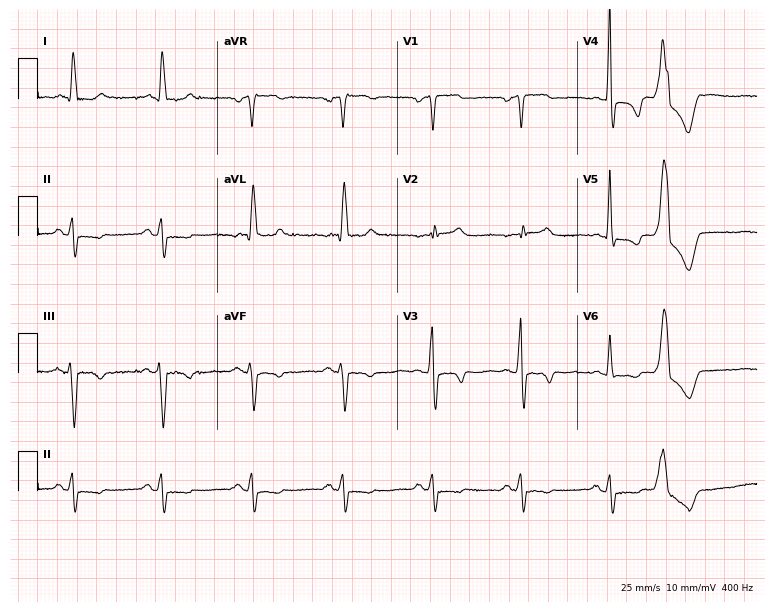
Electrocardiogram, a male, 69 years old. Of the six screened findings (first-degree AV block, right bundle branch block (RBBB), left bundle branch block (LBBB), sinus bradycardia, atrial fibrillation (AF), sinus tachycardia), none is recorded. Other findings, if any, are not listed.